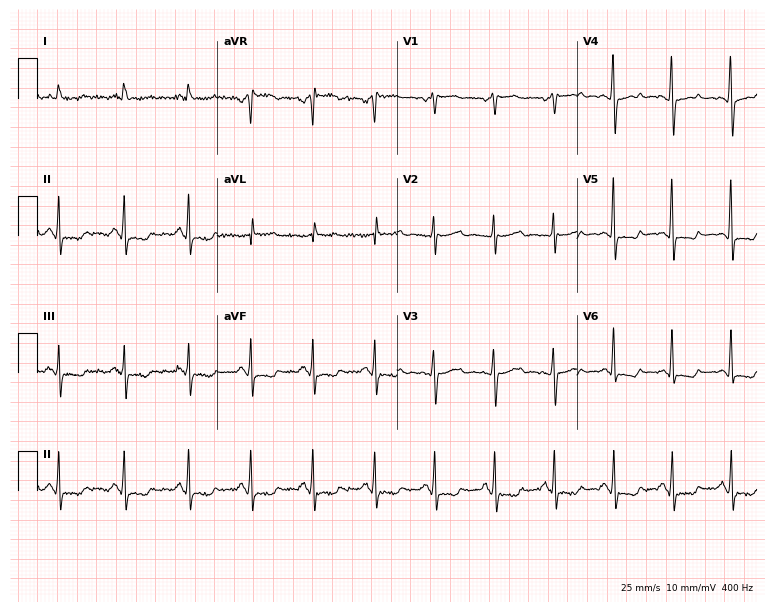
Resting 12-lead electrocardiogram (7.3-second recording at 400 Hz). Patient: a female, 61 years old. None of these six findings is recorded: first-degree AV block, right bundle branch block, left bundle branch block, sinus bradycardia, atrial fibrillation, sinus tachycardia.